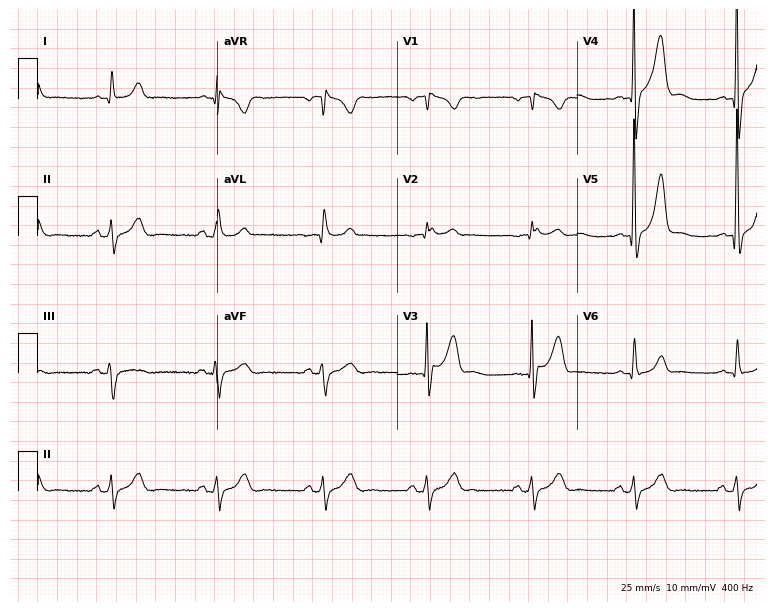
12-lead ECG from a 62-year-old man. Screened for six findings — first-degree AV block, right bundle branch block (RBBB), left bundle branch block (LBBB), sinus bradycardia, atrial fibrillation (AF), sinus tachycardia — none is recorded. Only these six findings were labelled.